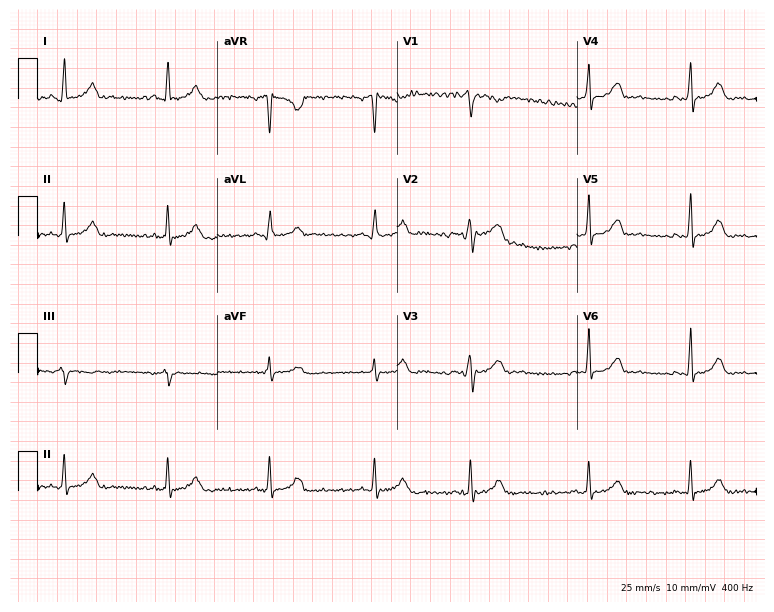
ECG — a female patient, 21 years old. Screened for six findings — first-degree AV block, right bundle branch block (RBBB), left bundle branch block (LBBB), sinus bradycardia, atrial fibrillation (AF), sinus tachycardia — none is recorded.